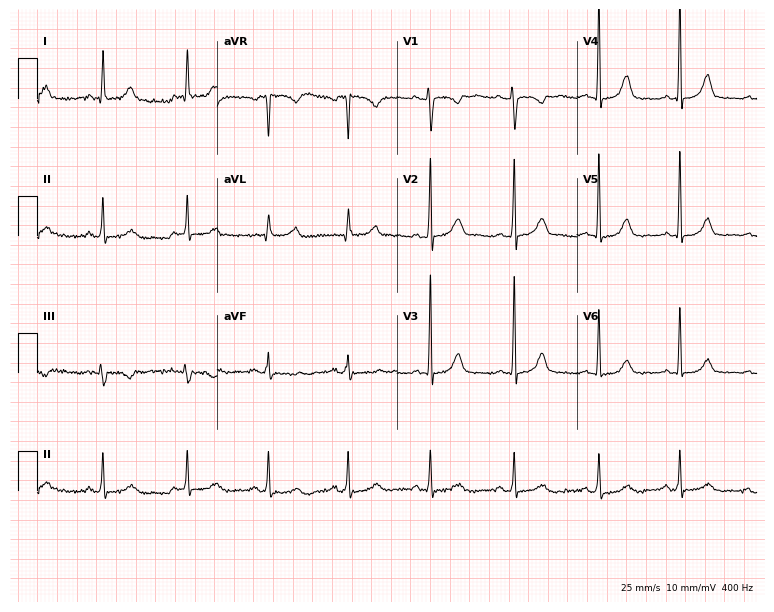
12-lead ECG from a female patient, 42 years old (7.3-second recording at 400 Hz). Recorded interpretation: within normal limits.